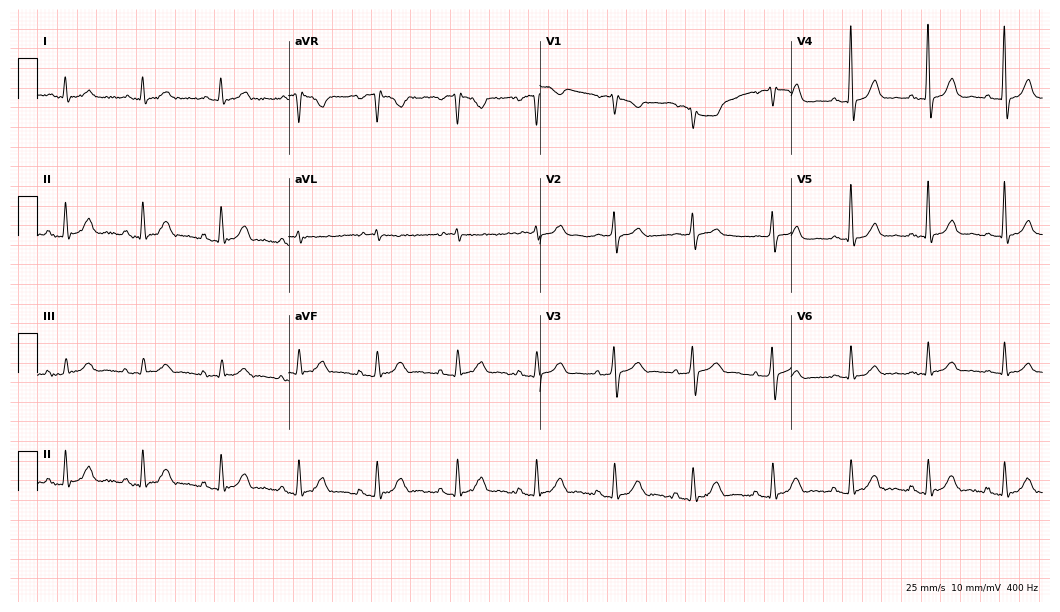
ECG — a male, 76 years old. Labelled as a normal ECG.